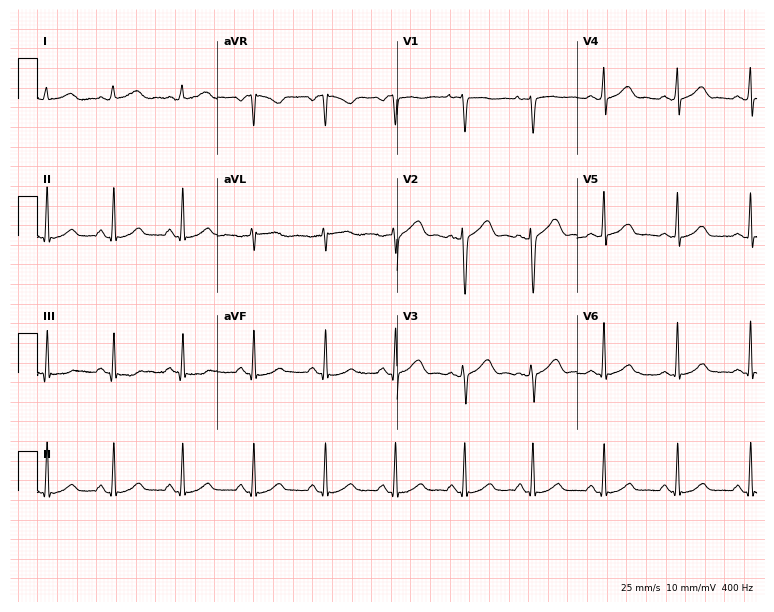
12-lead ECG (7.3-second recording at 400 Hz) from a 35-year-old female patient. Screened for six findings — first-degree AV block, right bundle branch block, left bundle branch block, sinus bradycardia, atrial fibrillation, sinus tachycardia — none is recorded.